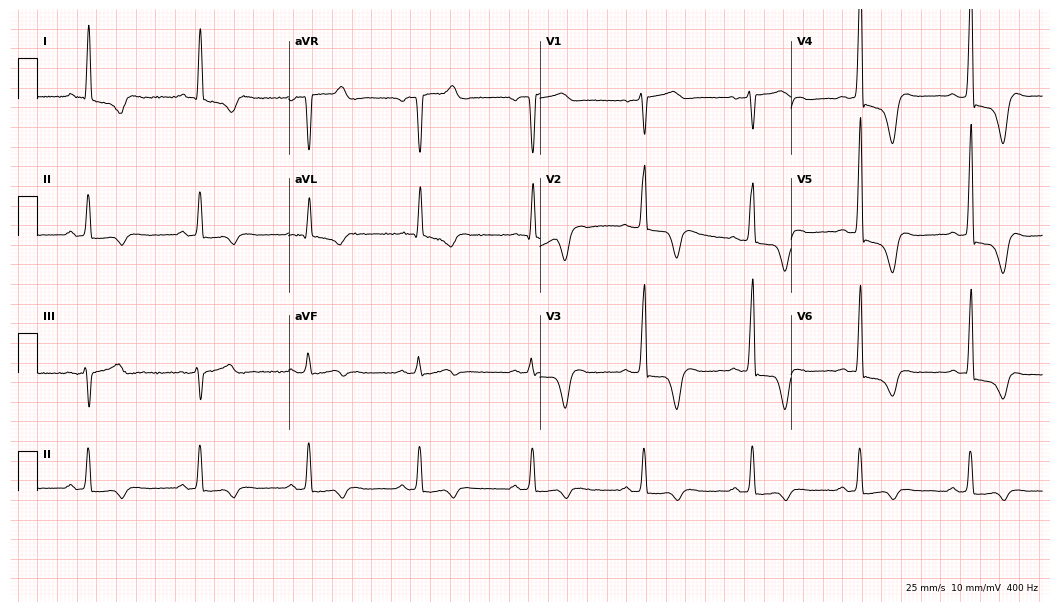
12-lead ECG from a man, 59 years old (10.2-second recording at 400 Hz). Shows sinus bradycardia (a sinus rate of 50 beats per minute or less).